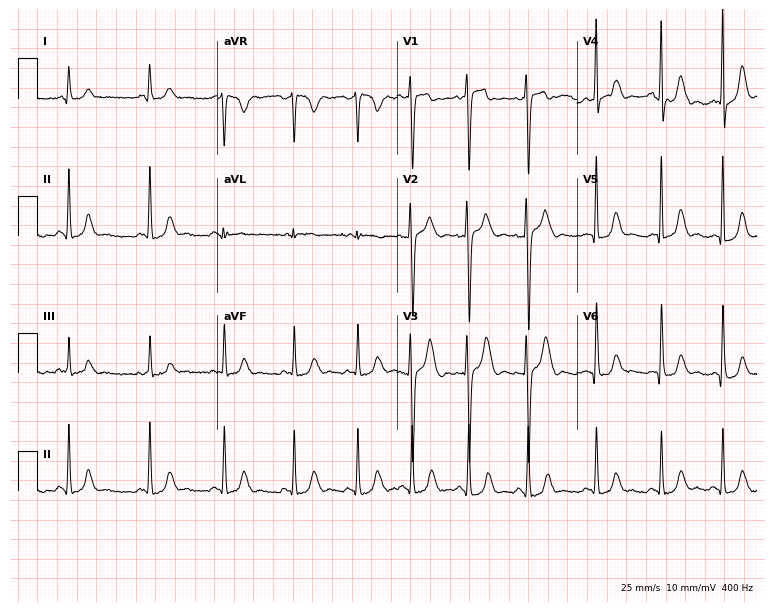
12-lead ECG from a 26-year-old female. Recorded interpretation: within normal limits.